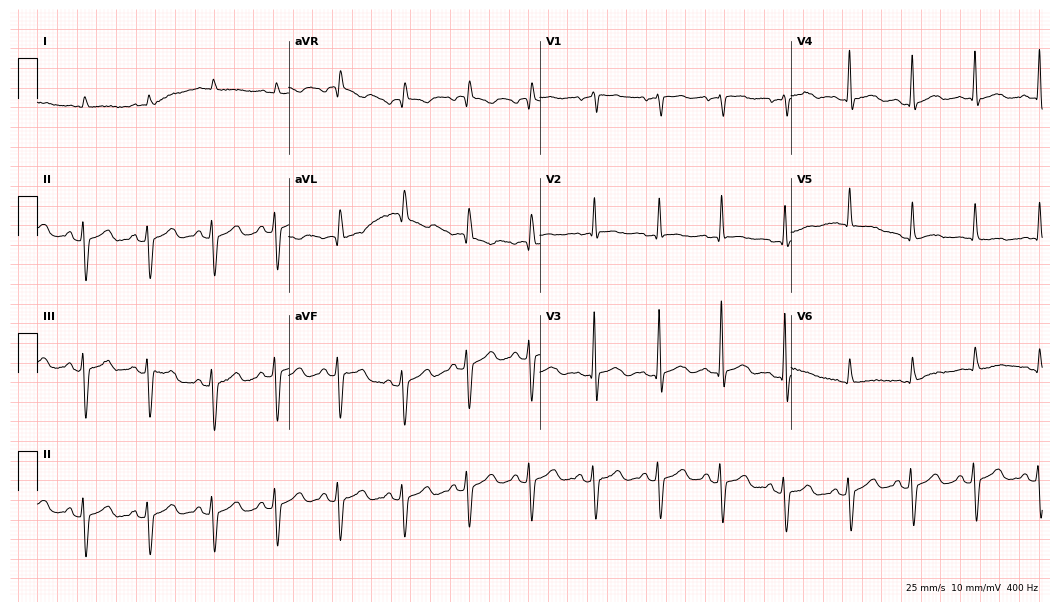
Standard 12-lead ECG recorded from an 85-year-old male. None of these six findings is recorded: first-degree AV block, right bundle branch block (RBBB), left bundle branch block (LBBB), sinus bradycardia, atrial fibrillation (AF), sinus tachycardia.